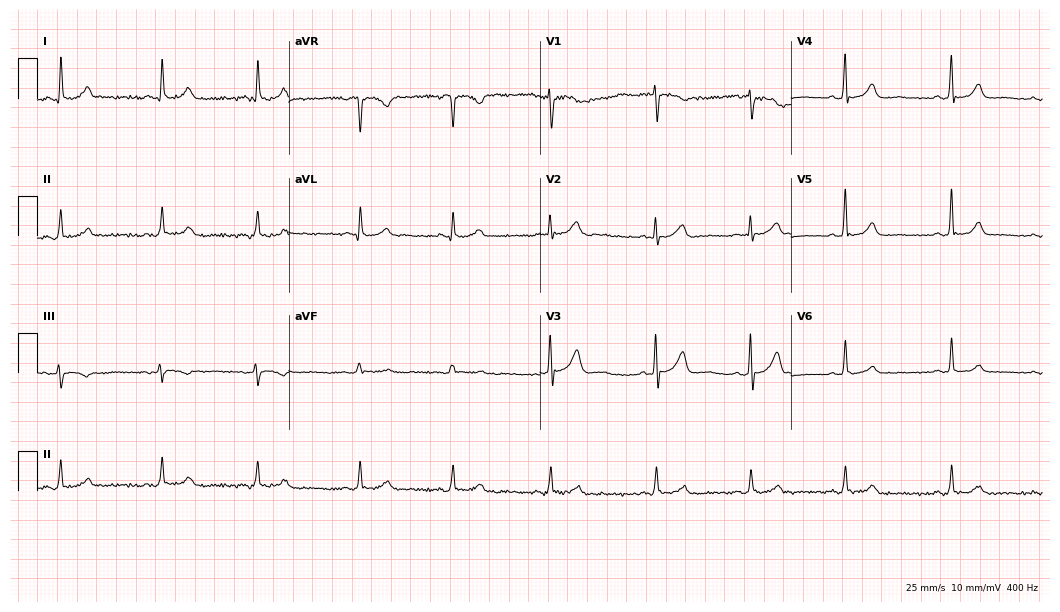
Electrocardiogram (10.2-second recording at 400 Hz), a 54-year-old female. Overall reading on record: normal ECG.